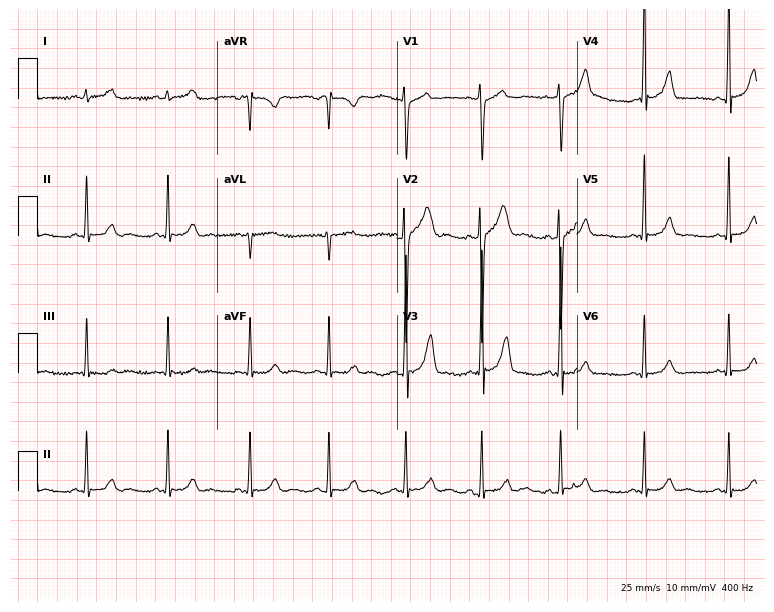
ECG (7.3-second recording at 400 Hz) — a 26-year-old male. Labelled as a normal ECG.